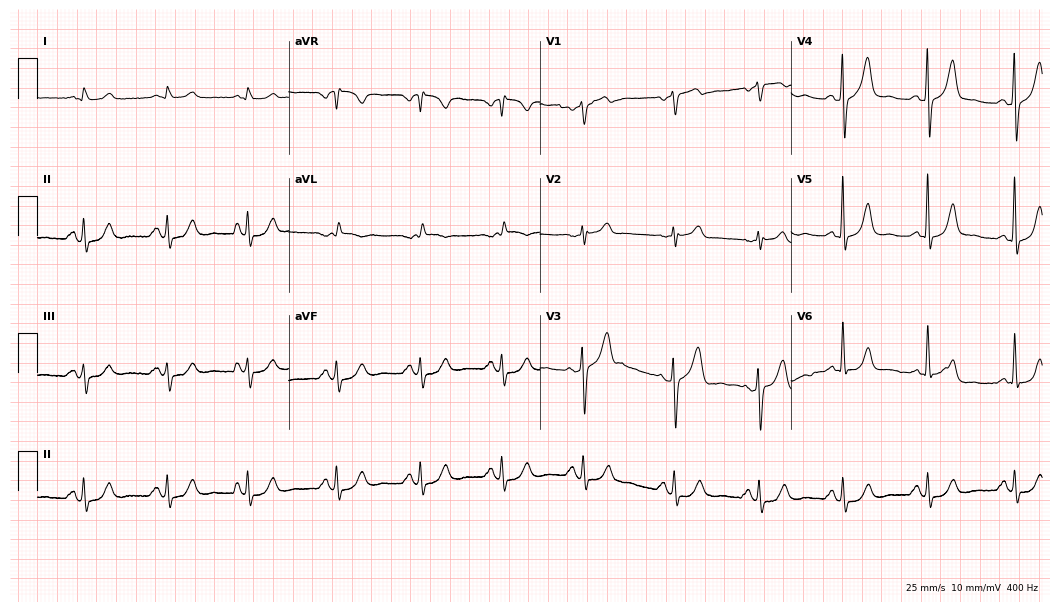
Standard 12-lead ECG recorded from a male patient, 71 years old. Read as a normal ECG.